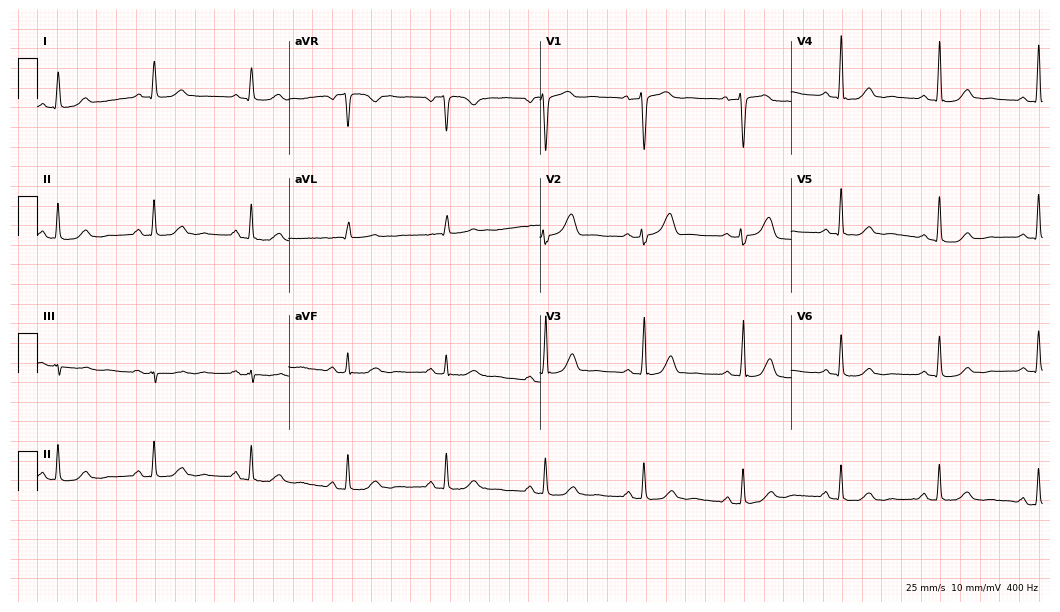
12-lead ECG from a 58-year-old female. Recorded interpretation: within normal limits.